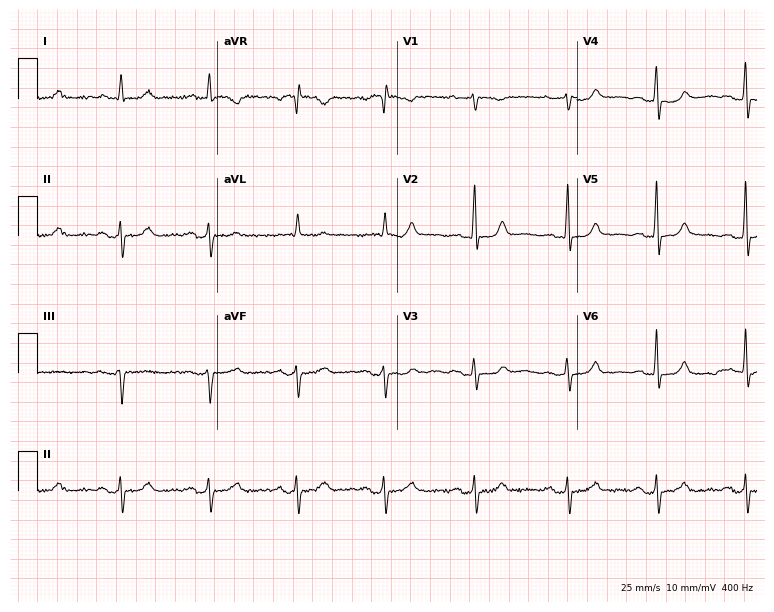
ECG — an 83-year-old female. Screened for six findings — first-degree AV block, right bundle branch block, left bundle branch block, sinus bradycardia, atrial fibrillation, sinus tachycardia — none is recorded.